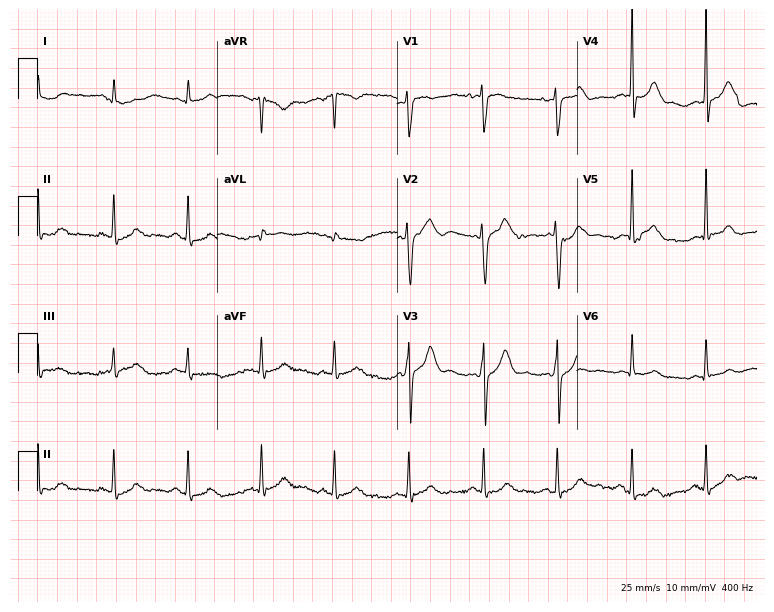
Resting 12-lead electrocardiogram (7.3-second recording at 400 Hz). Patient: a 35-year-old female. Read as a normal ECG.